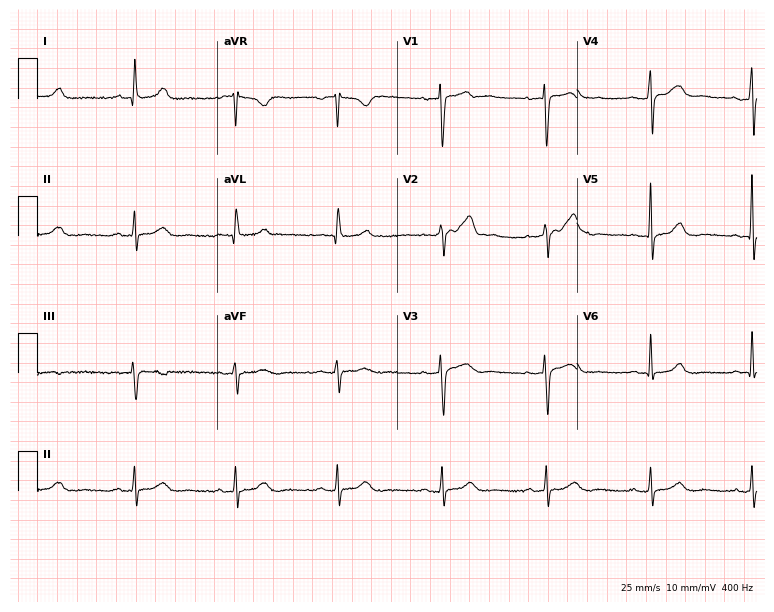
Resting 12-lead electrocardiogram (7.3-second recording at 400 Hz). Patient: a woman, 58 years old. Read as a normal ECG.